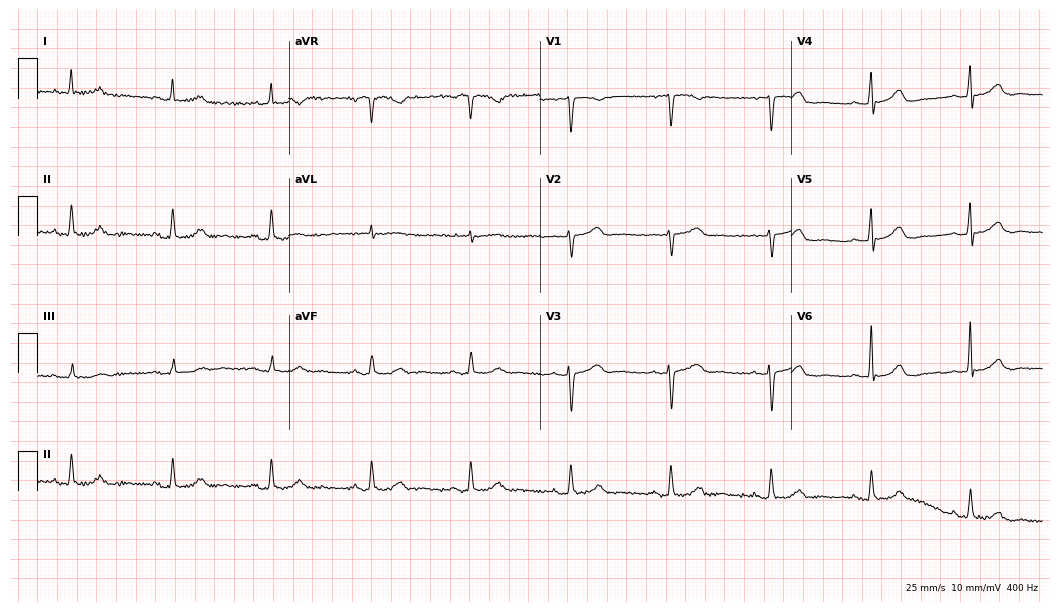
12-lead ECG from a female, 76 years old. Screened for six findings — first-degree AV block, right bundle branch block, left bundle branch block, sinus bradycardia, atrial fibrillation, sinus tachycardia — none is recorded. Other findings, if any, are not listed.